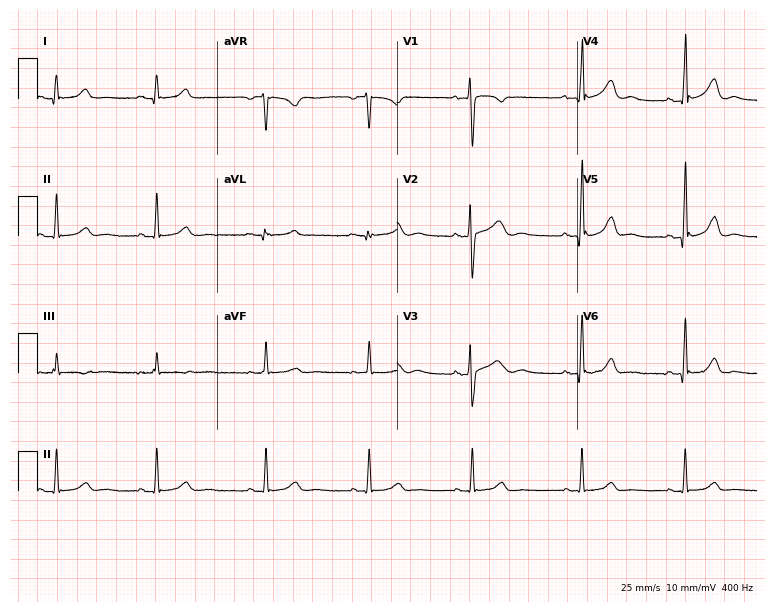
Electrocardiogram, a 28-year-old female patient. Of the six screened findings (first-degree AV block, right bundle branch block (RBBB), left bundle branch block (LBBB), sinus bradycardia, atrial fibrillation (AF), sinus tachycardia), none is recorded.